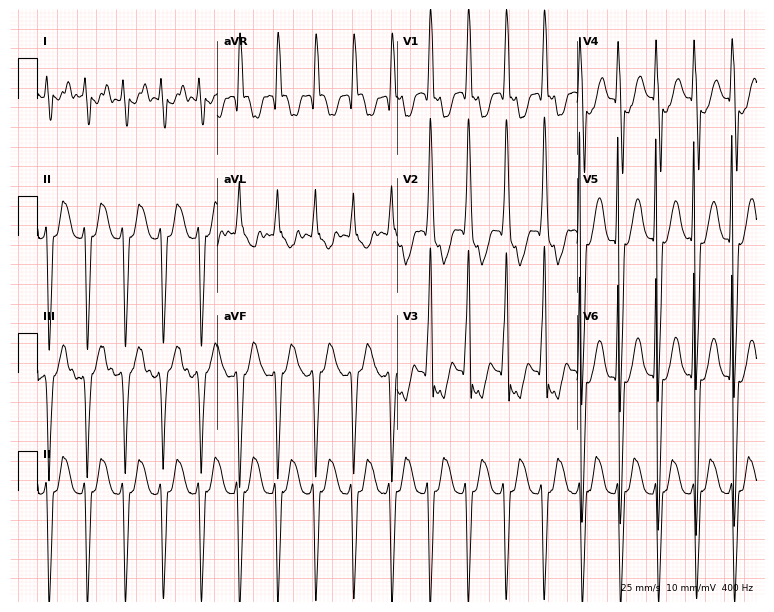
ECG — a female, 18 years old. Screened for six findings — first-degree AV block, right bundle branch block, left bundle branch block, sinus bradycardia, atrial fibrillation, sinus tachycardia — none is recorded. Only these six findings were labelled.